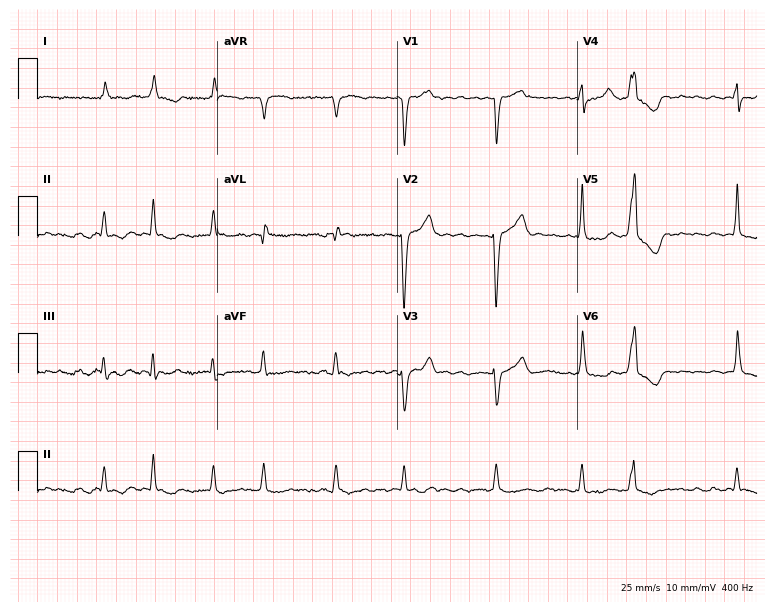
ECG — a 75-year-old female patient. Findings include atrial fibrillation.